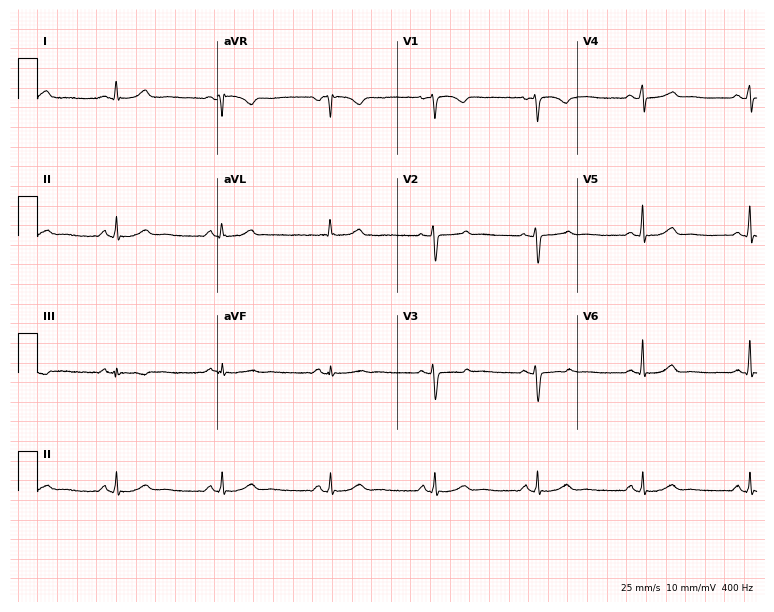
12-lead ECG from a 40-year-old woman. Labelled as a normal ECG.